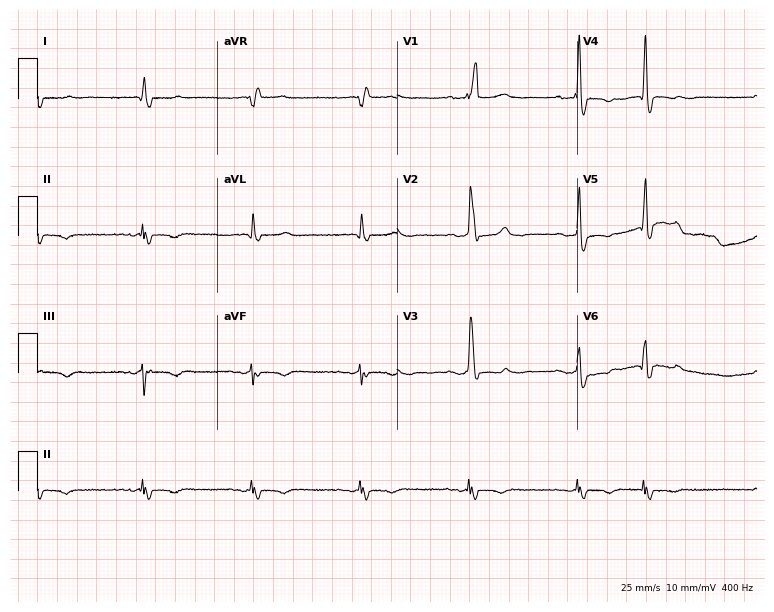
12-lead ECG from a male, 84 years old (7.3-second recording at 400 Hz). No first-degree AV block, right bundle branch block, left bundle branch block, sinus bradycardia, atrial fibrillation or sinus tachycardia recorded for this tracing.